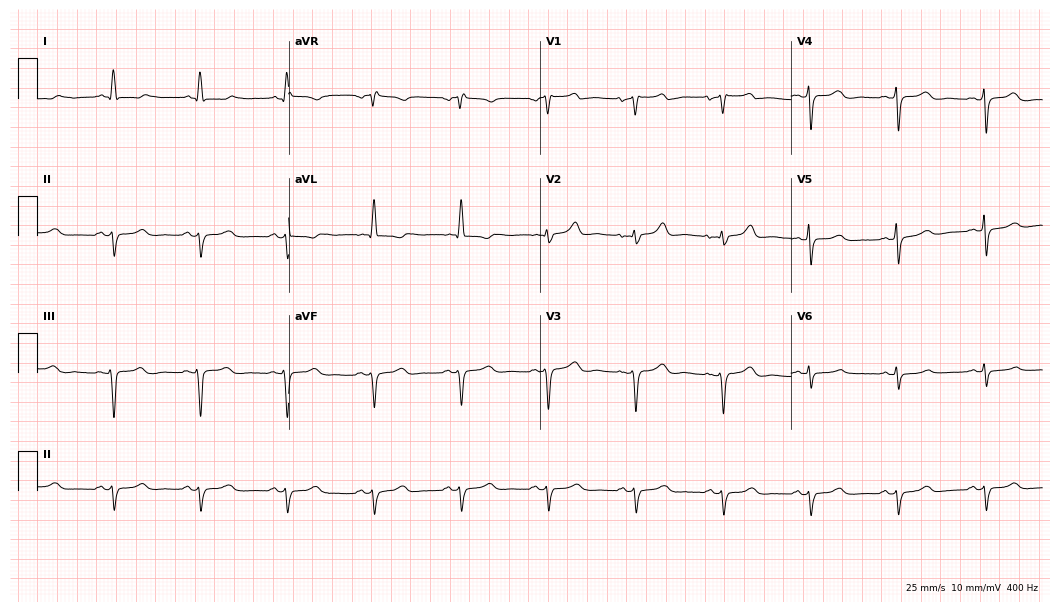
ECG — a female, 64 years old. Screened for six findings — first-degree AV block, right bundle branch block (RBBB), left bundle branch block (LBBB), sinus bradycardia, atrial fibrillation (AF), sinus tachycardia — none is recorded.